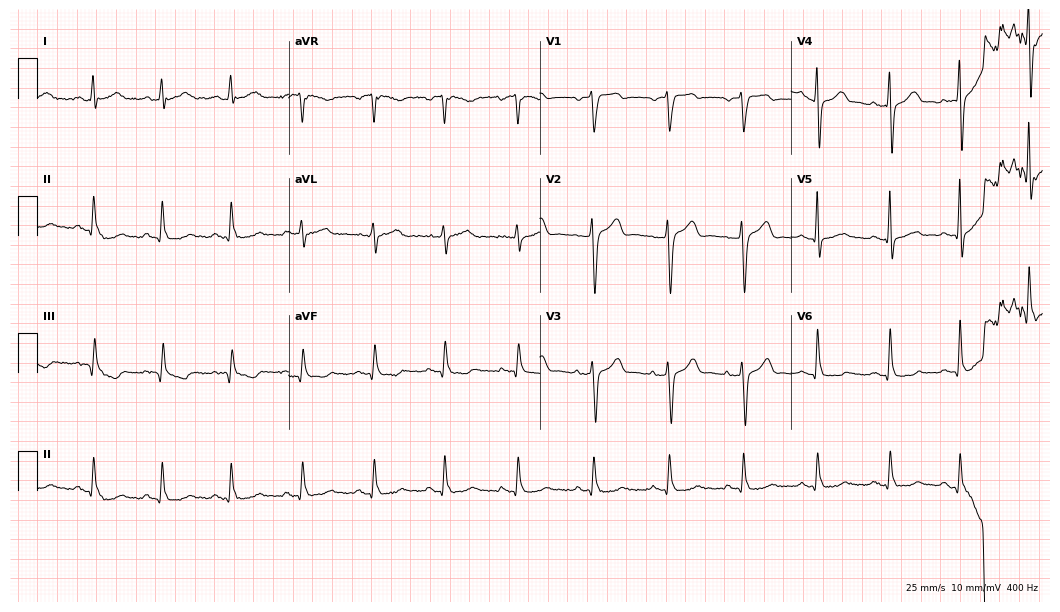
Electrocardiogram (10.2-second recording at 400 Hz), a male patient, 41 years old. Overall reading on record: normal ECG.